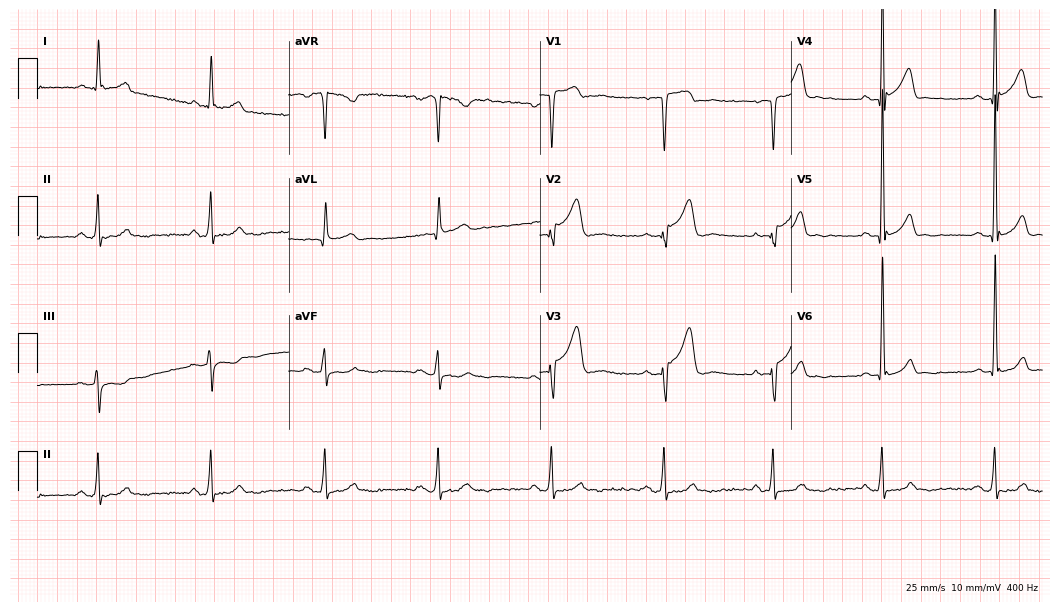
12-lead ECG from a man, 54 years old. Recorded interpretation: within normal limits.